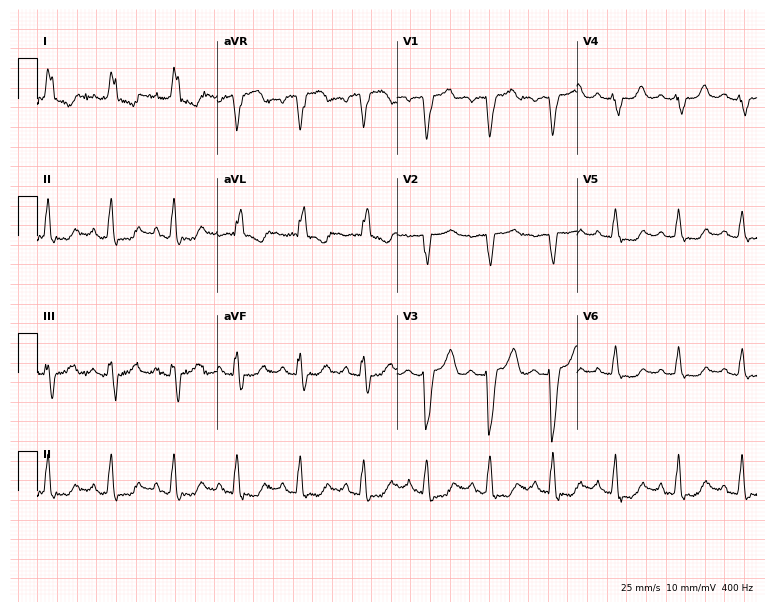
ECG — an 85-year-old female patient. Findings include left bundle branch block.